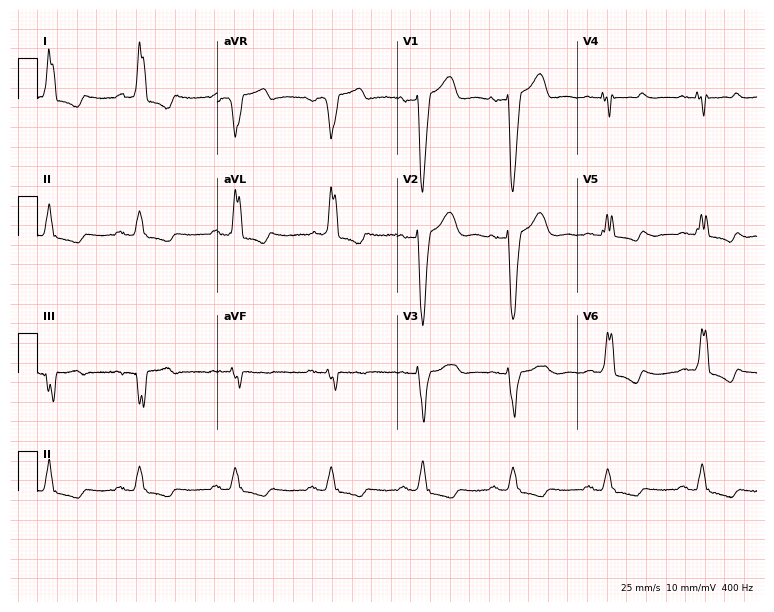
Resting 12-lead electrocardiogram (7.3-second recording at 400 Hz). Patient: a female, 67 years old. The tracing shows left bundle branch block.